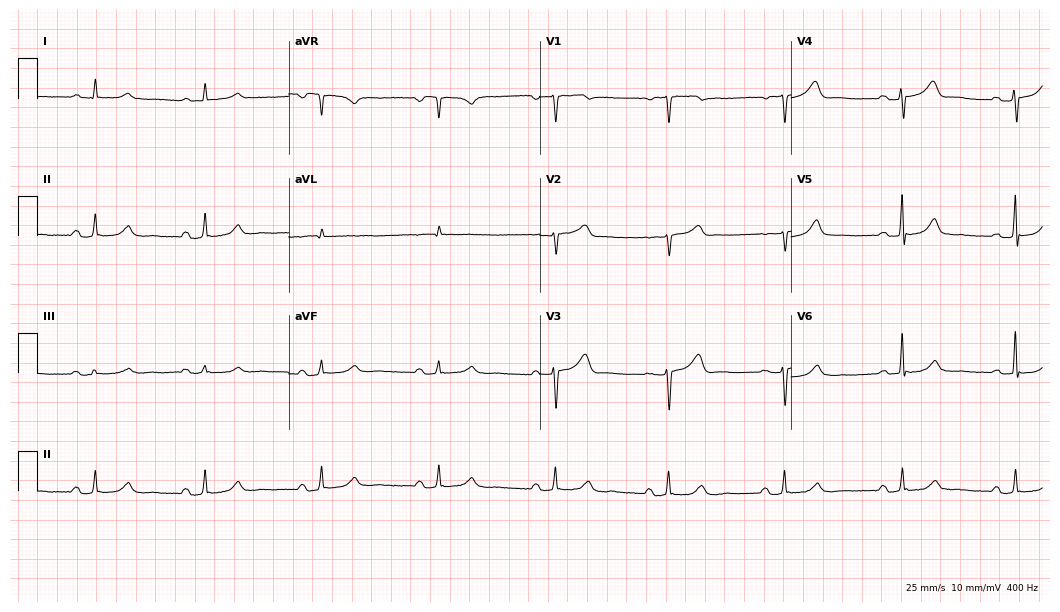
12-lead ECG from a female, 84 years old. No first-degree AV block, right bundle branch block, left bundle branch block, sinus bradycardia, atrial fibrillation or sinus tachycardia recorded for this tracing. Other findings, if any, are not listed.